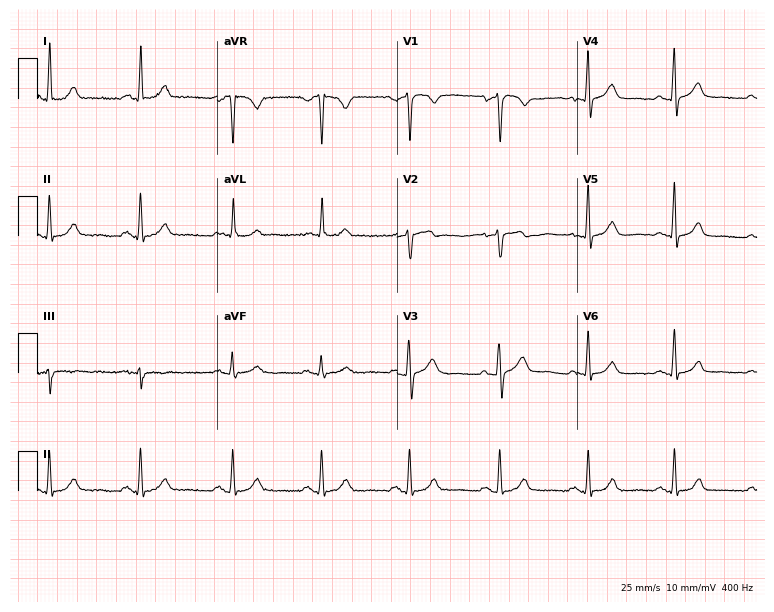
Resting 12-lead electrocardiogram. Patient: a female, 50 years old. Read as a normal ECG.